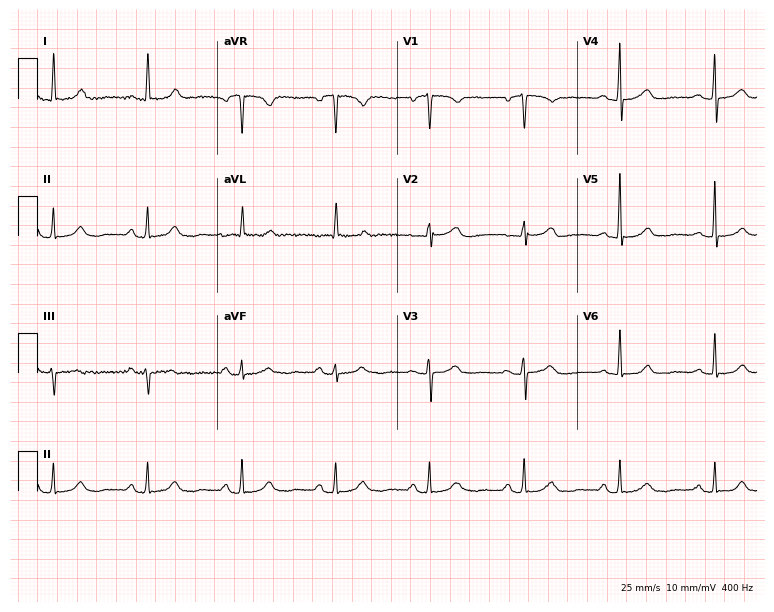
12-lead ECG (7.3-second recording at 400 Hz) from a man, 21 years old. Labelled as a normal ECG.